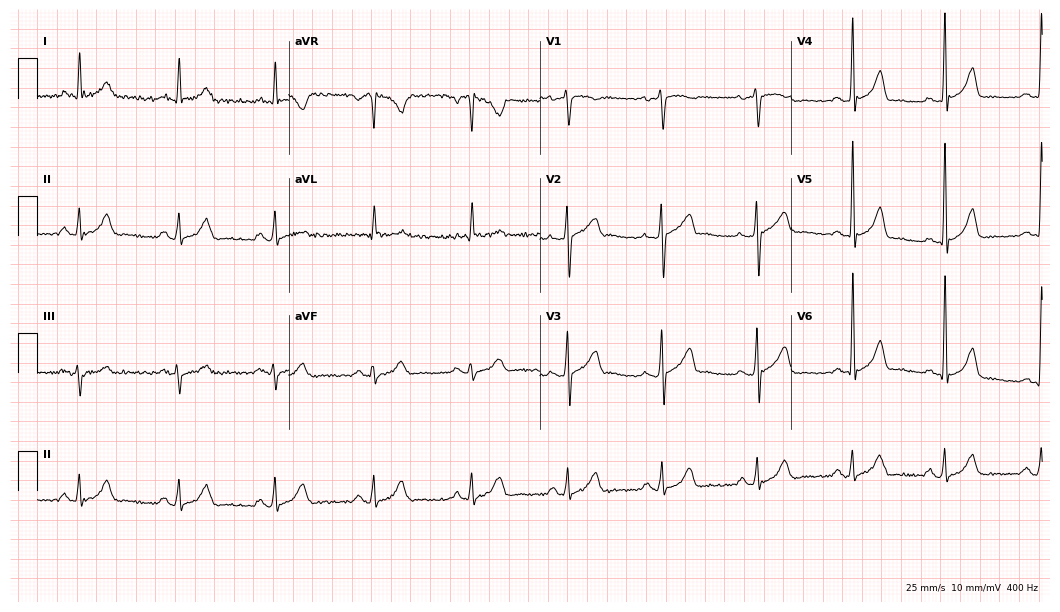
12-lead ECG from a man, 72 years old. Screened for six findings — first-degree AV block, right bundle branch block, left bundle branch block, sinus bradycardia, atrial fibrillation, sinus tachycardia — none is recorded. Only these six findings were labelled.